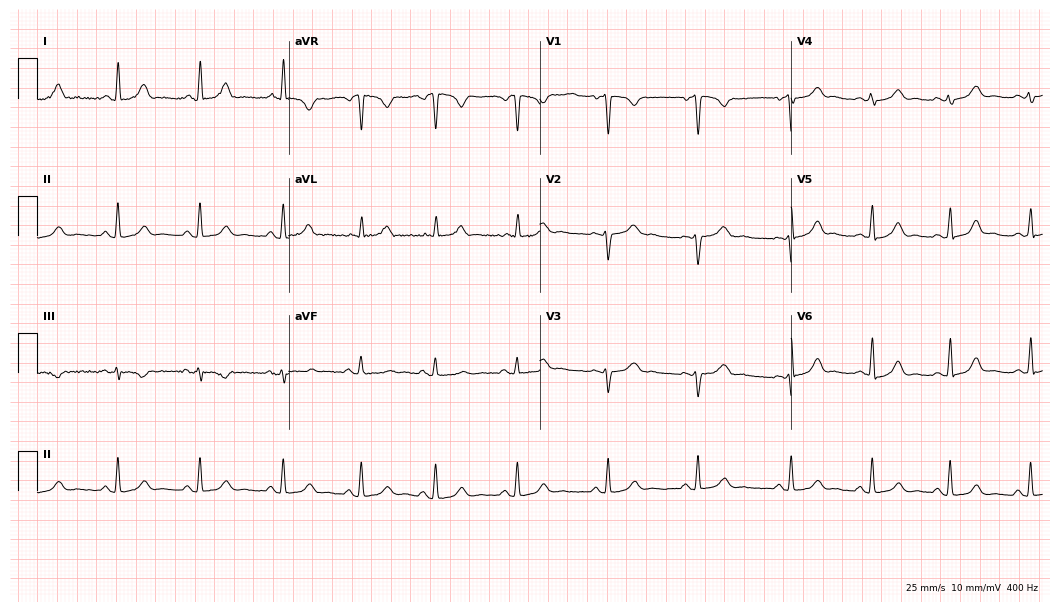
Electrocardiogram, a 35-year-old woman. Overall reading on record: normal ECG.